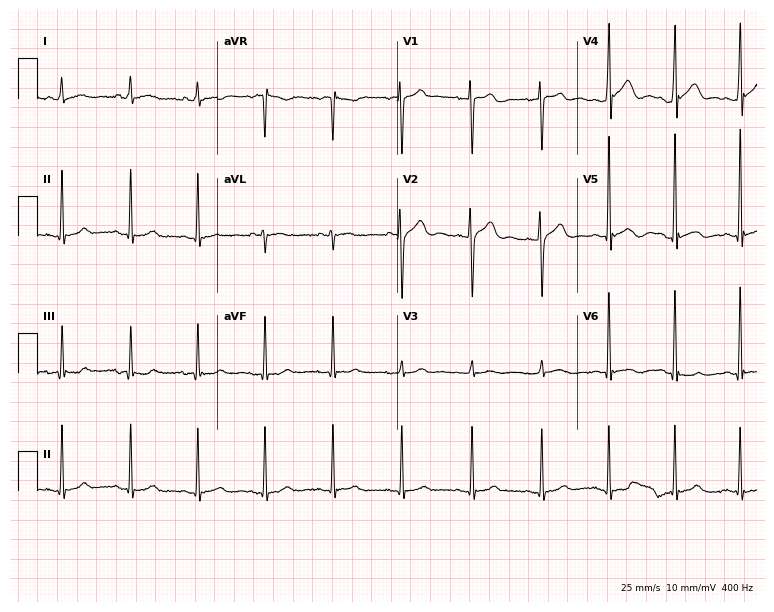
Electrocardiogram, a male patient, 26 years old. Overall reading on record: normal ECG.